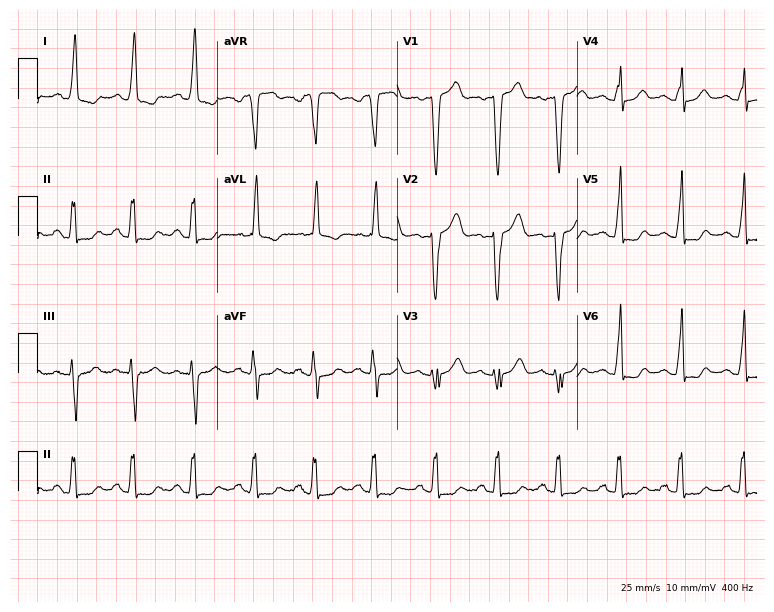
12-lead ECG from a 38-year-old female patient. No first-degree AV block, right bundle branch block (RBBB), left bundle branch block (LBBB), sinus bradycardia, atrial fibrillation (AF) or sinus tachycardia recorded for this tracing.